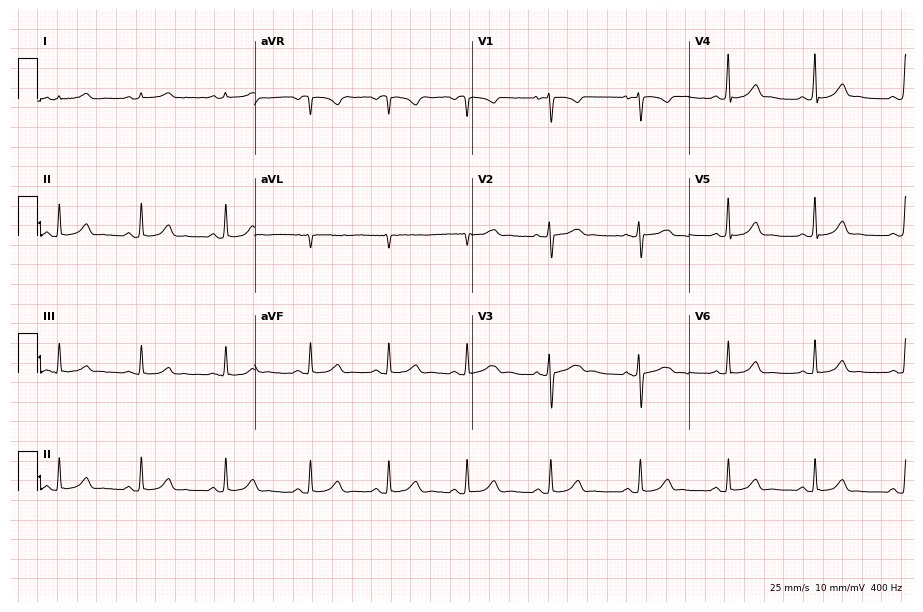
Electrocardiogram, a female patient, 22 years old. Of the six screened findings (first-degree AV block, right bundle branch block (RBBB), left bundle branch block (LBBB), sinus bradycardia, atrial fibrillation (AF), sinus tachycardia), none is recorded.